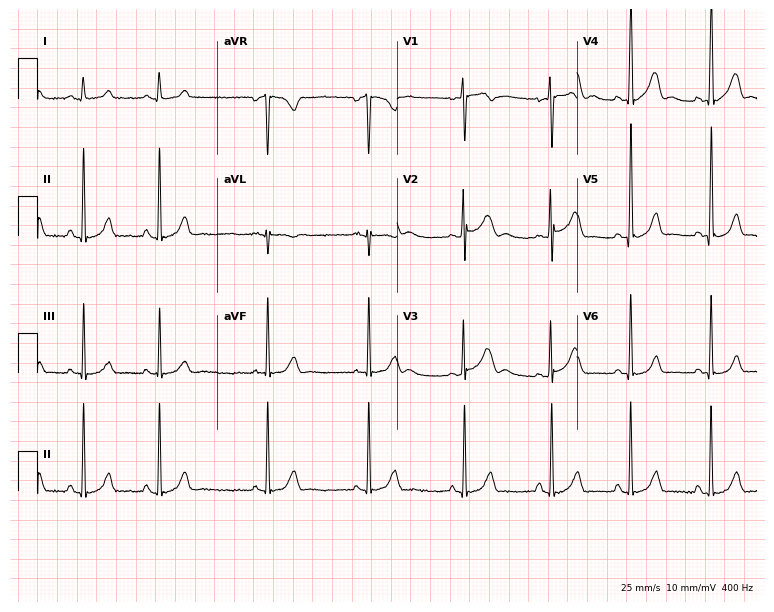
ECG (7.3-second recording at 400 Hz) — a woman, 17 years old. Screened for six findings — first-degree AV block, right bundle branch block, left bundle branch block, sinus bradycardia, atrial fibrillation, sinus tachycardia — none is recorded. Other findings, if any, are not listed.